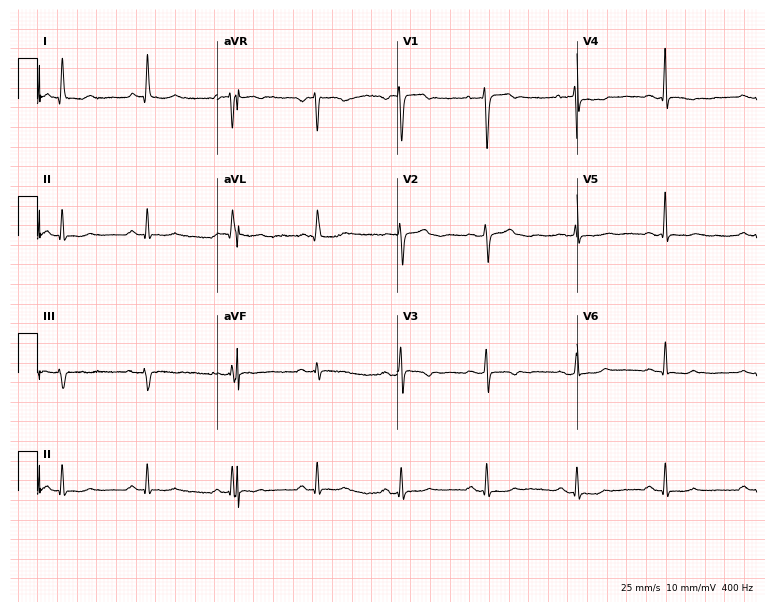
Electrocardiogram, a female patient, 50 years old. Of the six screened findings (first-degree AV block, right bundle branch block (RBBB), left bundle branch block (LBBB), sinus bradycardia, atrial fibrillation (AF), sinus tachycardia), none is recorded. Findings outside these six are not listed.